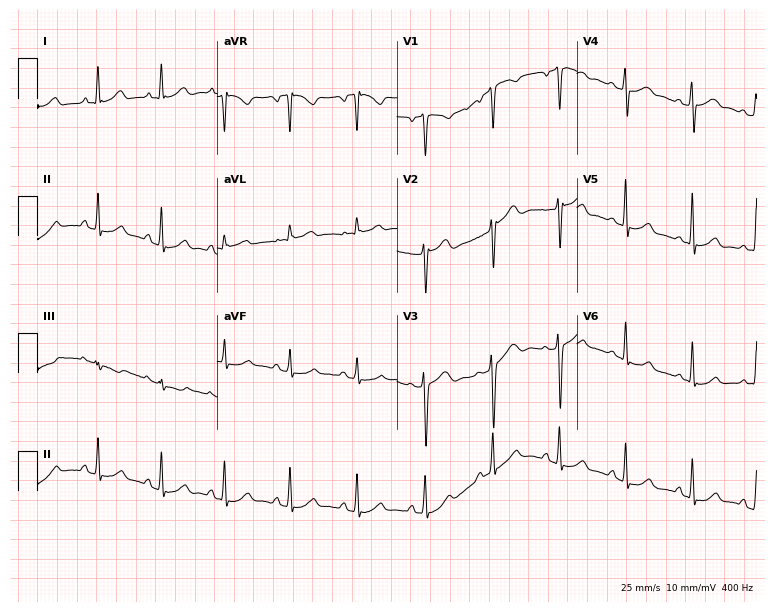
12-lead ECG from a female patient, 28 years old (7.3-second recording at 400 Hz). No first-degree AV block, right bundle branch block, left bundle branch block, sinus bradycardia, atrial fibrillation or sinus tachycardia recorded for this tracing.